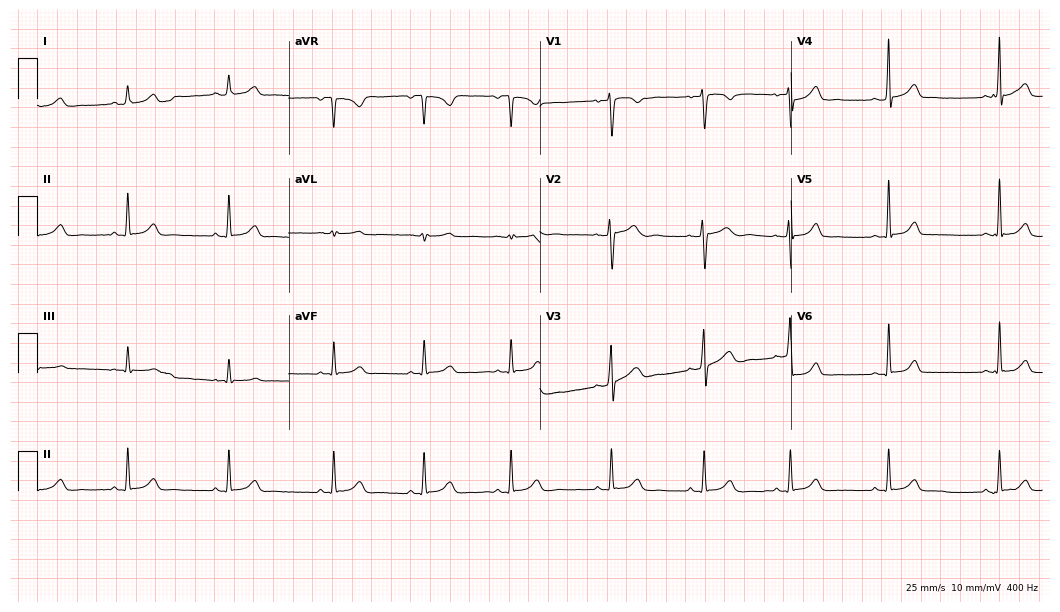
Standard 12-lead ECG recorded from a 24-year-old female. Read as a normal ECG.